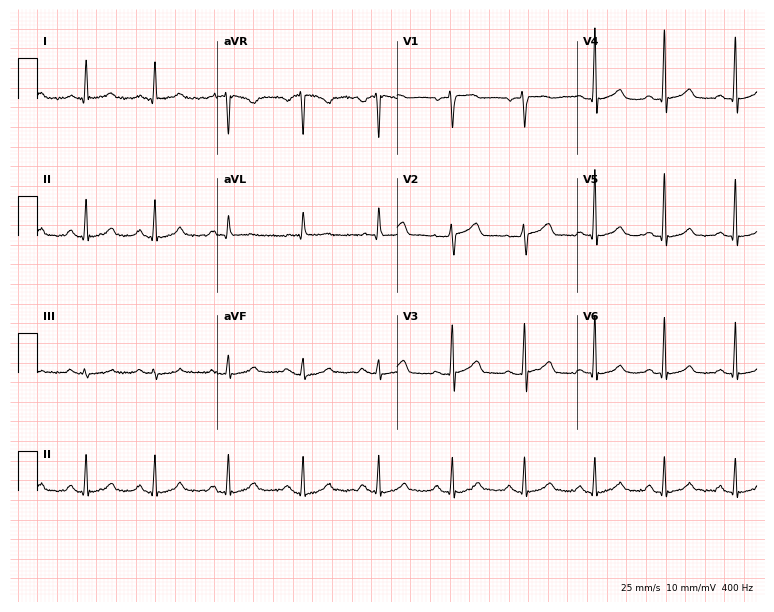
12-lead ECG from a female, 51 years old. Labelled as a normal ECG.